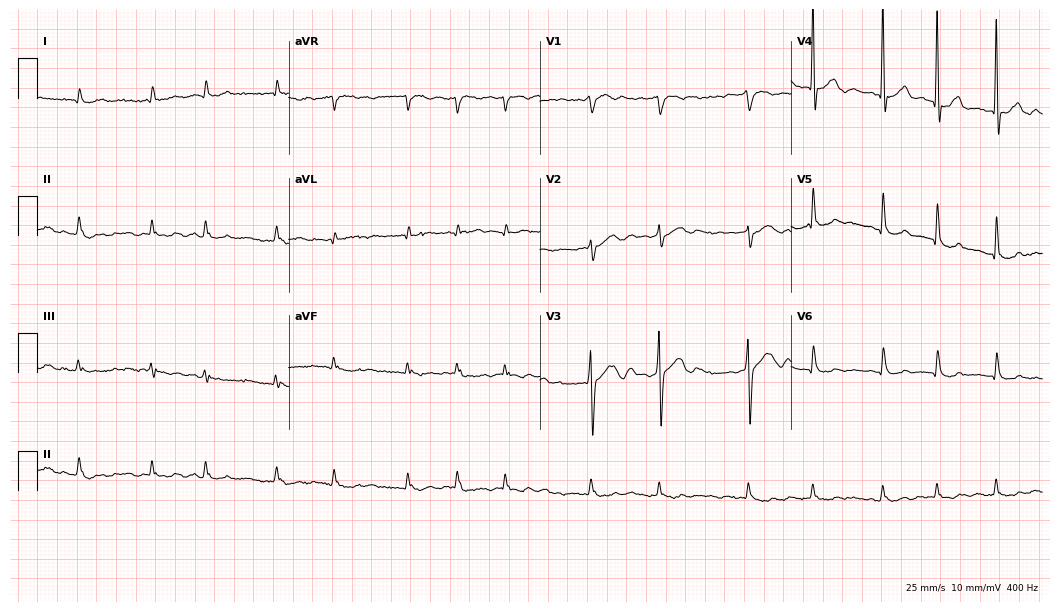
12-lead ECG (10.2-second recording at 400 Hz) from a female, 70 years old. Screened for six findings — first-degree AV block, right bundle branch block, left bundle branch block, sinus bradycardia, atrial fibrillation, sinus tachycardia — none is recorded.